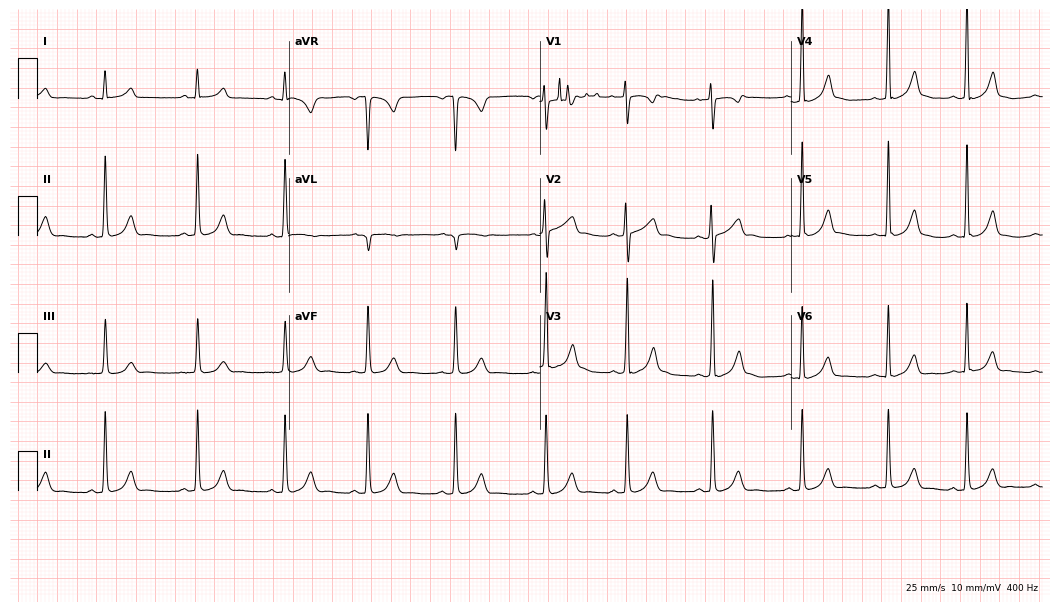
Resting 12-lead electrocardiogram (10.2-second recording at 400 Hz). Patient: a female, 25 years old. Read as a normal ECG.